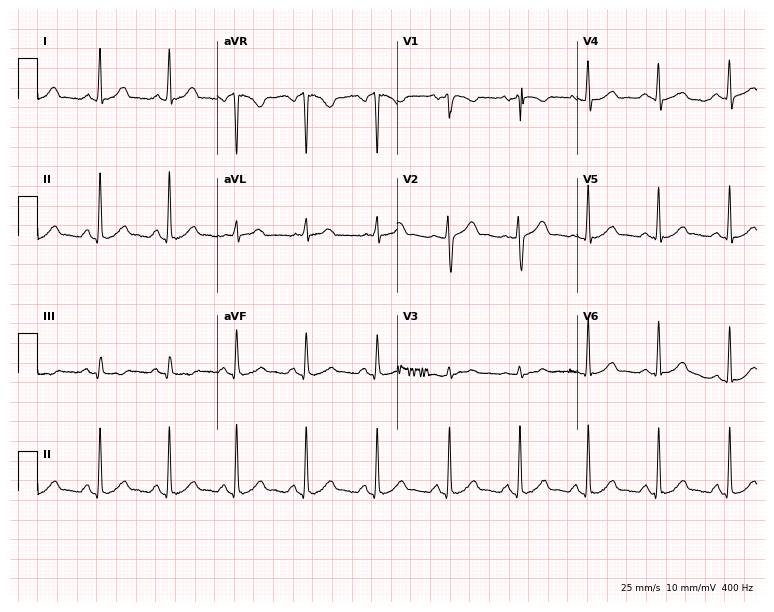
ECG (7.3-second recording at 400 Hz) — a female patient, 30 years old. Labelled as a normal ECG.